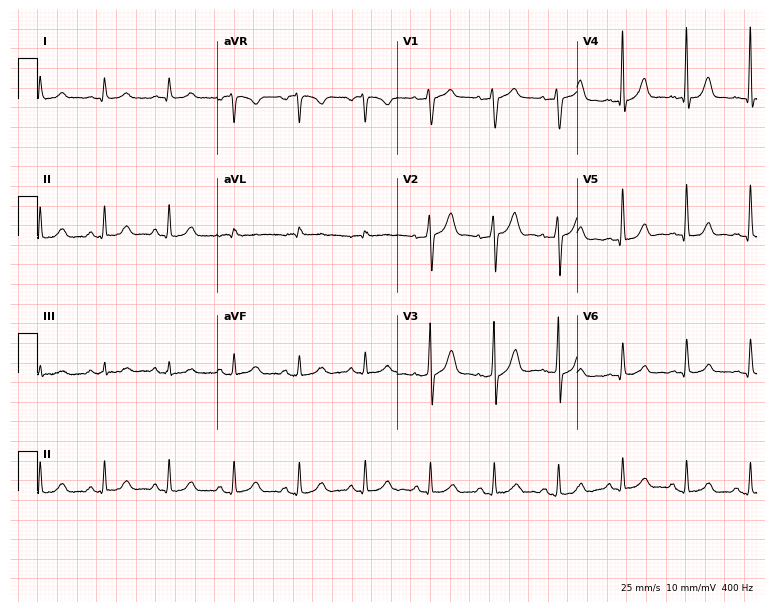
12-lead ECG from a 58-year-old male patient. No first-degree AV block, right bundle branch block, left bundle branch block, sinus bradycardia, atrial fibrillation or sinus tachycardia recorded for this tracing.